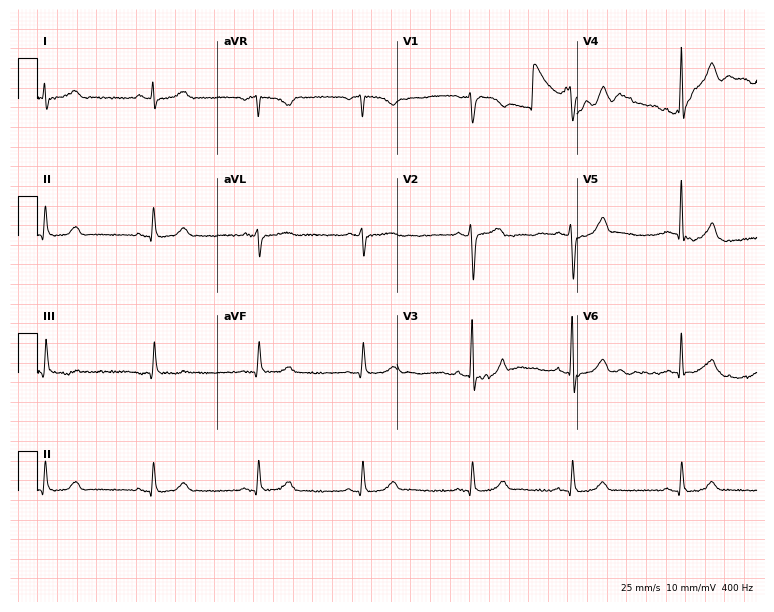
ECG — a 48-year-old male. Labelled as a normal ECG.